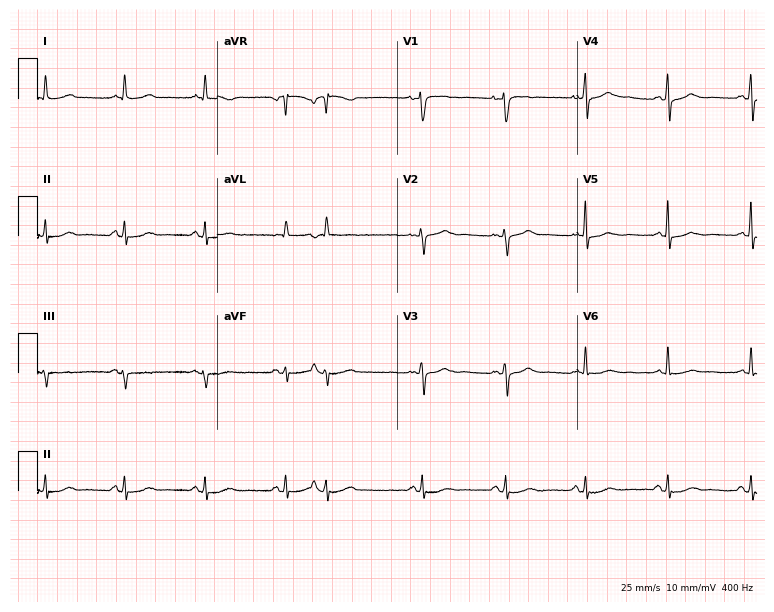
Resting 12-lead electrocardiogram. Patient: a 72-year-old woman. None of these six findings is recorded: first-degree AV block, right bundle branch block, left bundle branch block, sinus bradycardia, atrial fibrillation, sinus tachycardia. Only these six findings were labelled.